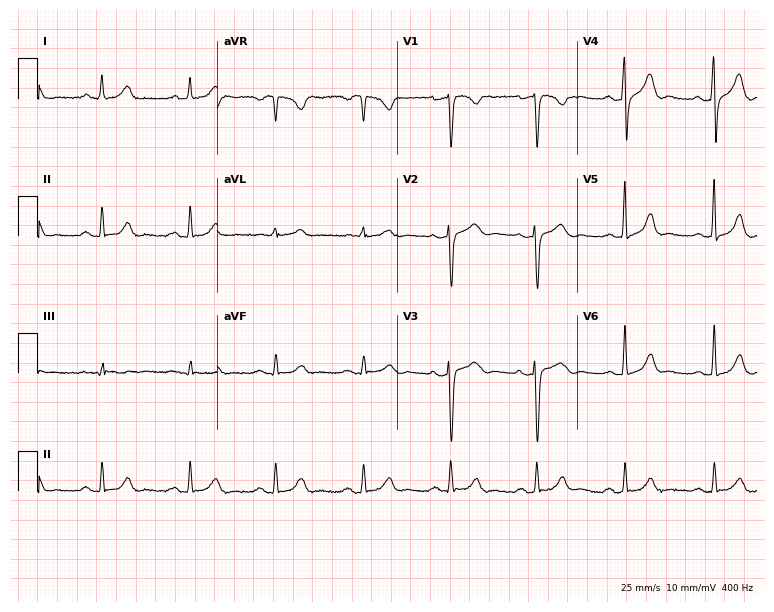
12-lead ECG from a 70-year-old female patient. Labelled as a normal ECG.